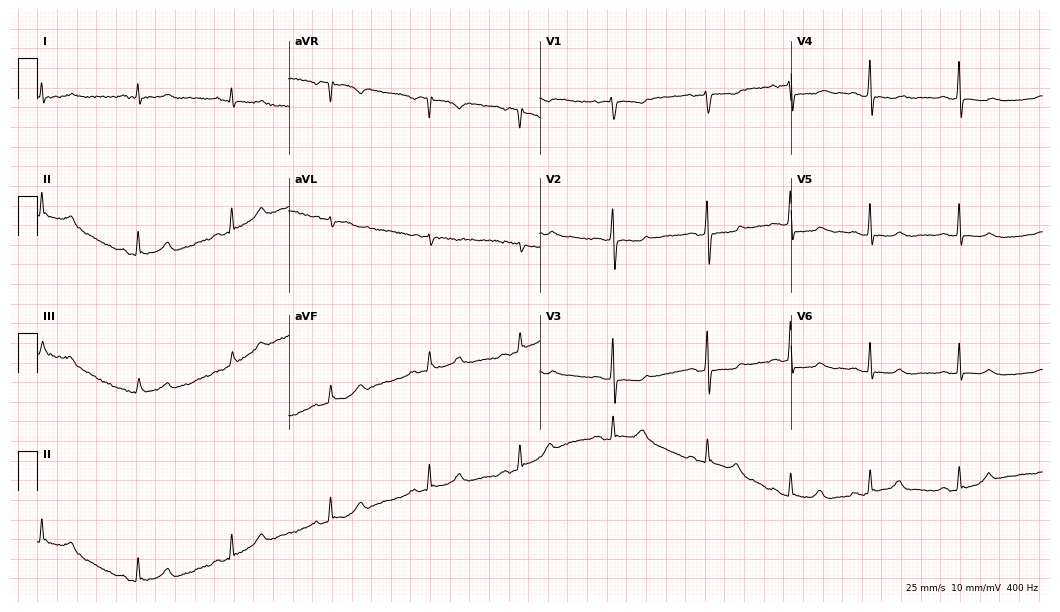
Standard 12-lead ECG recorded from a woman, 44 years old. None of these six findings is recorded: first-degree AV block, right bundle branch block, left bundle branch block, sinus bradycardia, atrial fibrillation, sinus tachycardia. Only these six findings were labelled.